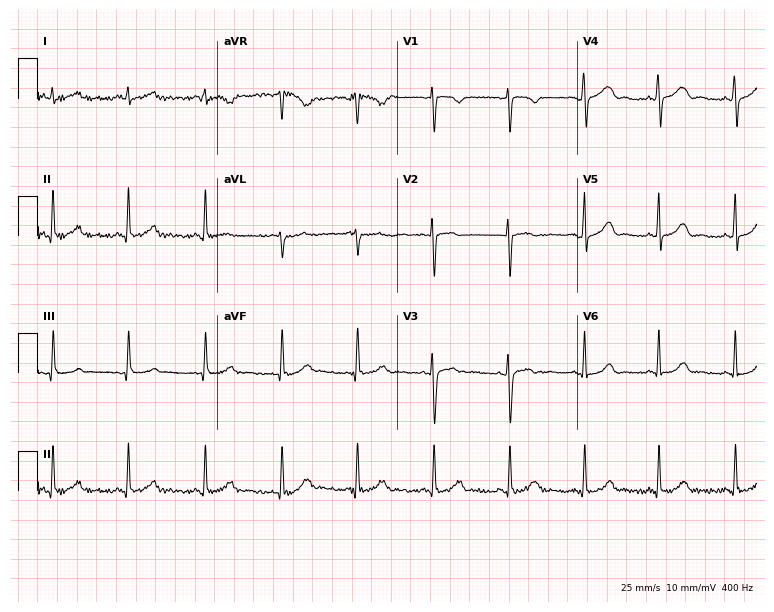
Standard 12-lead ECG recorded from a woman, 45 years old. None of these six findings is recorded: first-degree AV block, right bundle branch block (RBBB), left bundle branch block (LBBB), sinus bradycardia, atrial fibrillation (AF), sinus tachycardia. Findings outside these six are not listed.